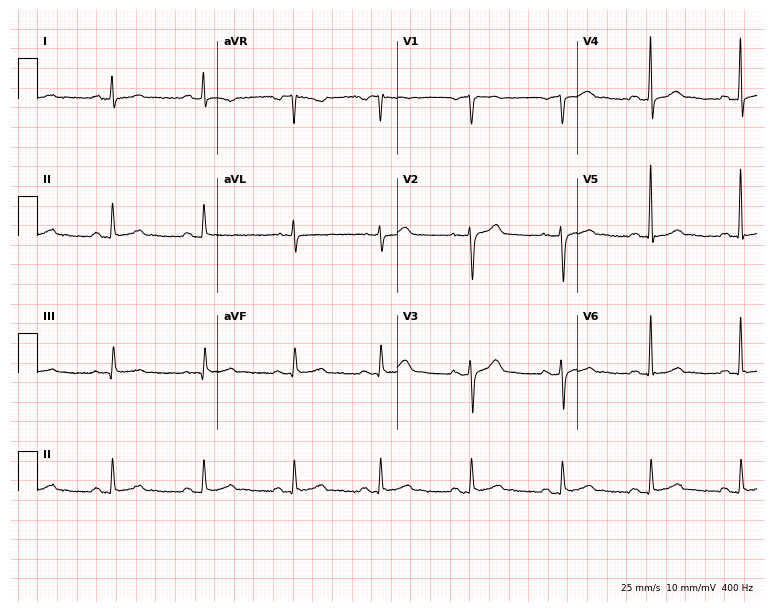
12-lead ECG from a 40-year-old male. Labelled as a normal ECG.